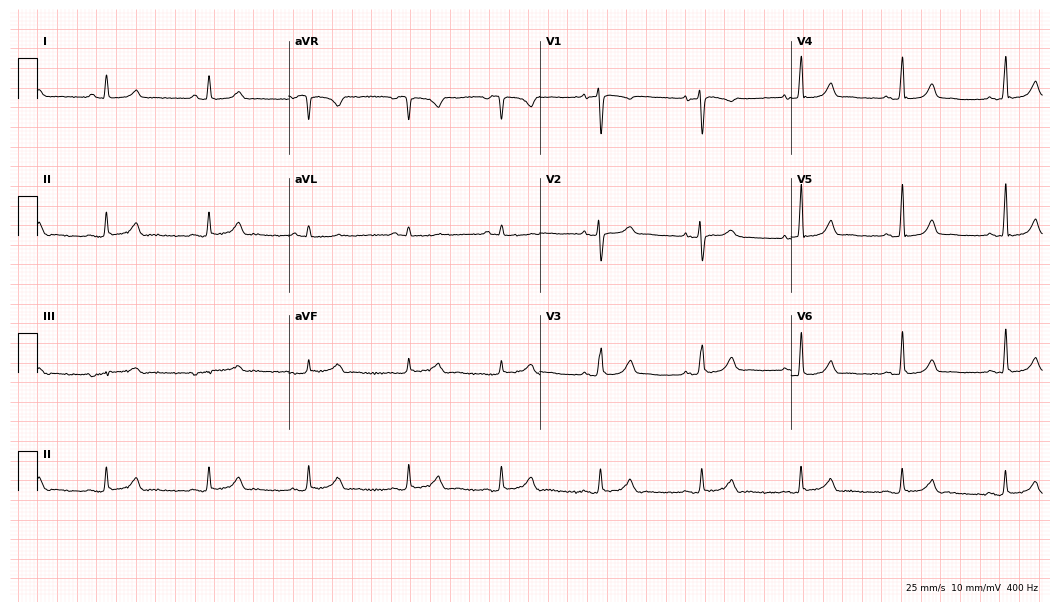
Standard 12-lead ECG recorded from a 43-year-old female (10.2-second recording at 400 Hz). Read as a normal ECG.